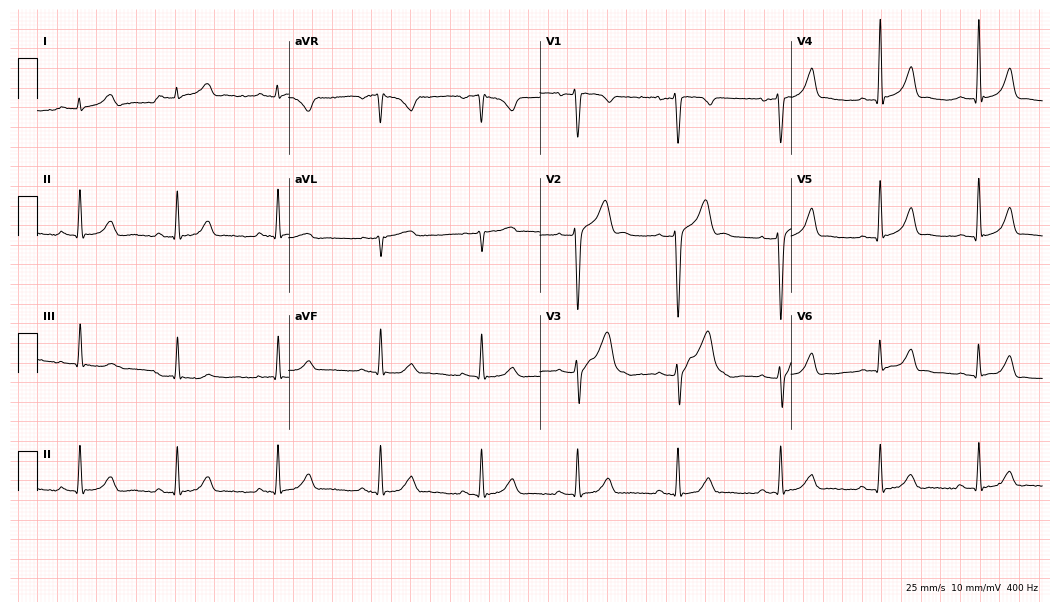
12-lead ECG from a man, 26 years old (10.2-second recording at 400 Hz). No first-degree AV block, right bundle branch block (RBBB), left bundle branch block (LBBB), sinus bradycardia, atrial fibrillation (AF) or sinus tachycardia recorded for this tracing. Only these six findings were labelled.